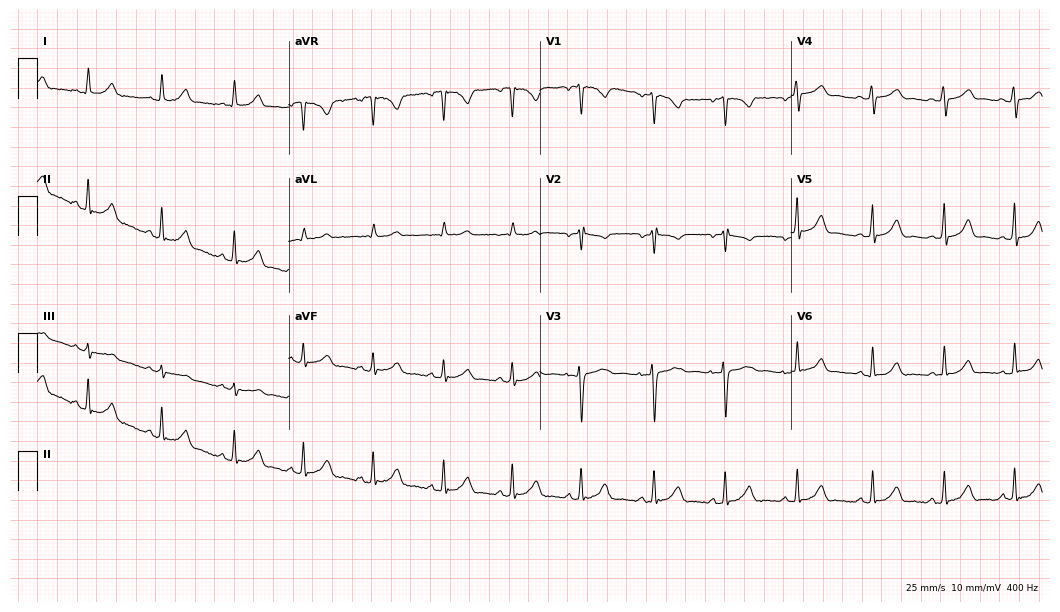
ECG — a 21-year-old woman. Labelled as a normal ECG.